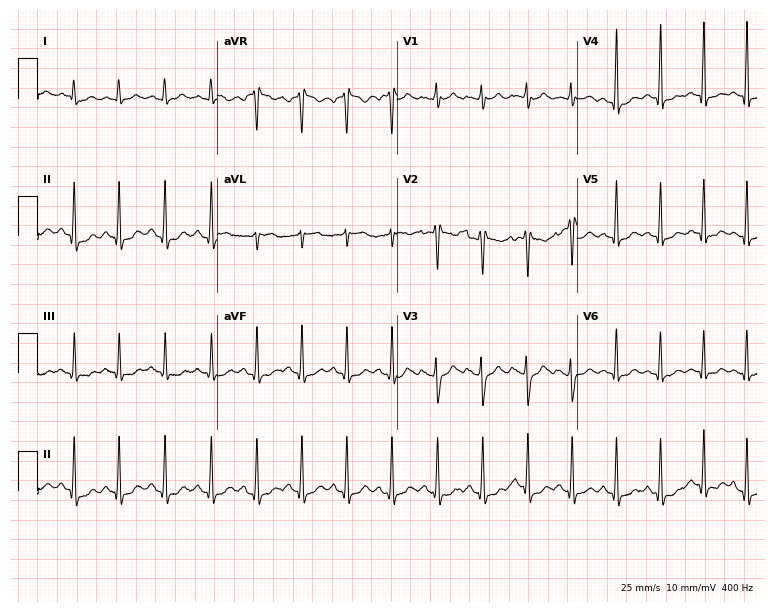
12-lead ECG from a 17-year-old female. No first-degree AV block, right bundle branch block, left bundle branch block, sinus bradycardia, atrial fibrillation or sinus tachycardia recorded for this tracing. Findings outside these six are not listed.